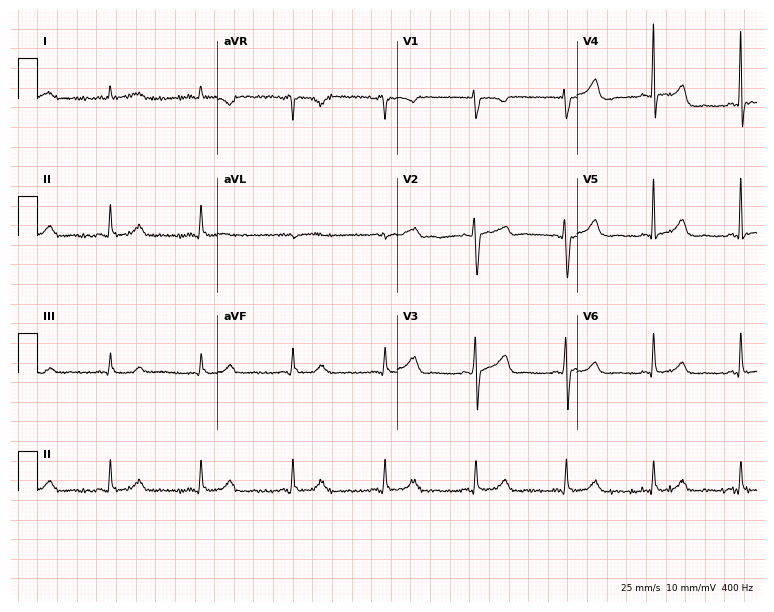
12-lead ECG from a woman, 60 years old (7.3-second recording at 400 Hz). No first-degree AV block, right bundle branch block, left bundle branch block, sinus bradycardia, atrial fibrillation or sinus tachycardia recorded for this tracing. Findings outside these six are not listed.